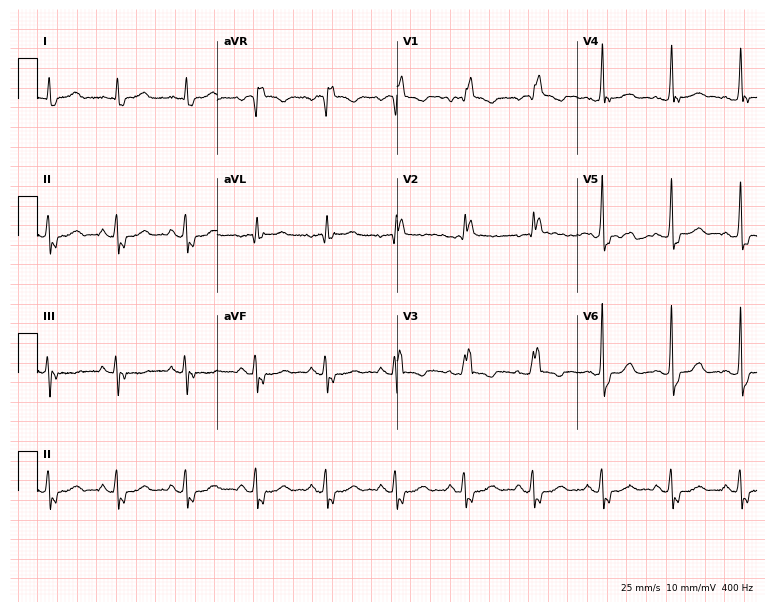
ECG (7.3-second recording at 400 Hz) — a female patient, 64 years old. Findings include right bundle branch block.